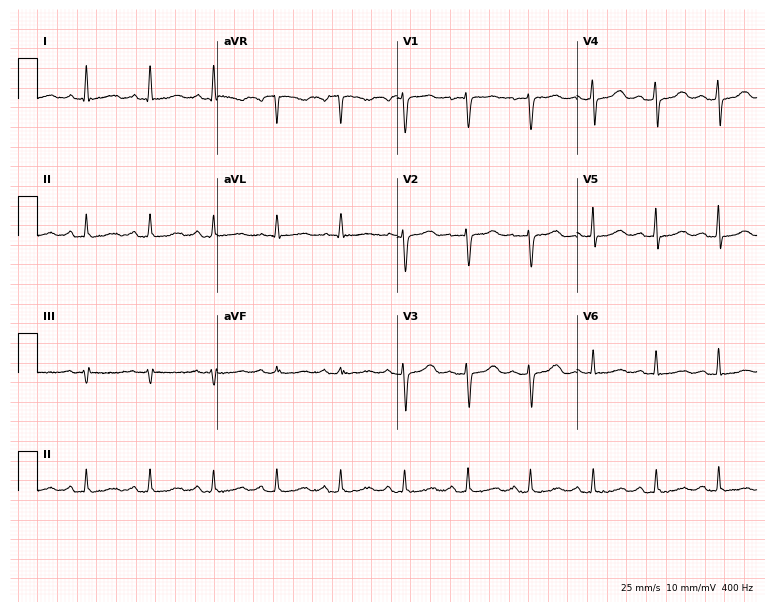
Resting 12-lead electrocardiogram (7.3-second recording at 400 Hz). Patient: a 63-year-old female. None of these six findings is recorded: first-degree AV block, right bundle branch block, left bundle branch block, sinus bradycardia, atrial fibrillation, sinus tachycardia.